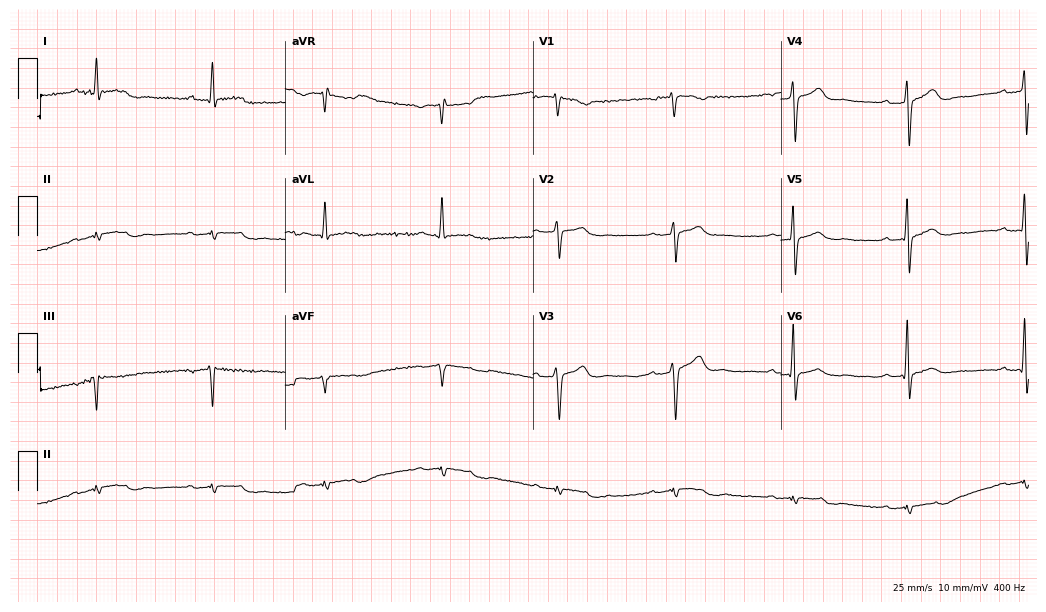
12-lead ECG (10.1-second recording at 400 Hz) from a 61-year-old male. Screened for six findings — first-degree AV block, right bundle branch block, left bundle branch block, sinus bradycardia, atrial fibrillation, sinus tachycardia — none is recorded. Only these six findings were labelled.